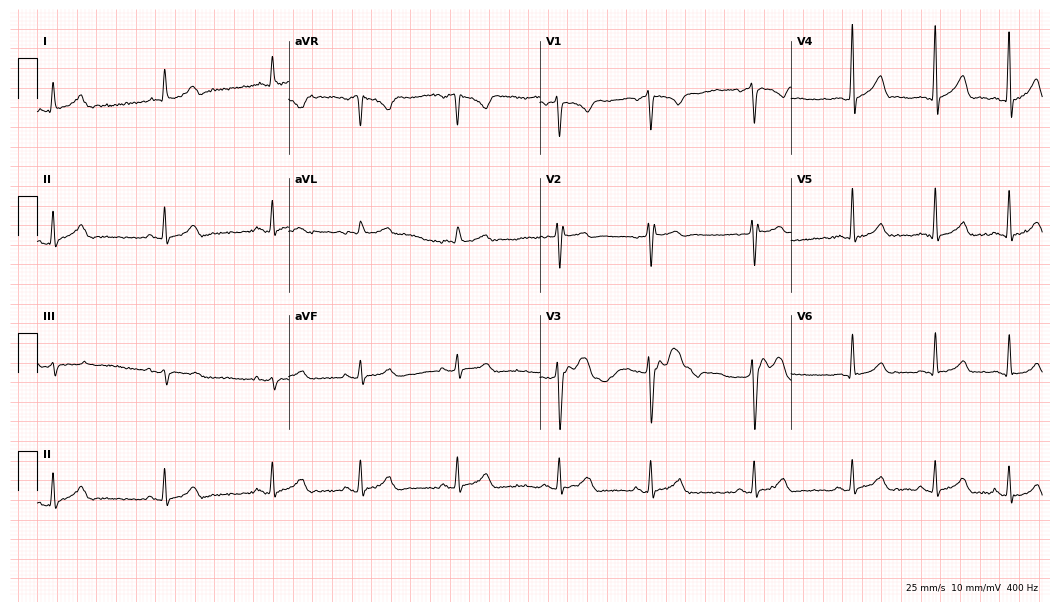
12-lead ECG from a man, 24 years old (10.2-second recording at 400 Hz). Recorded interpretation: within normal limits.